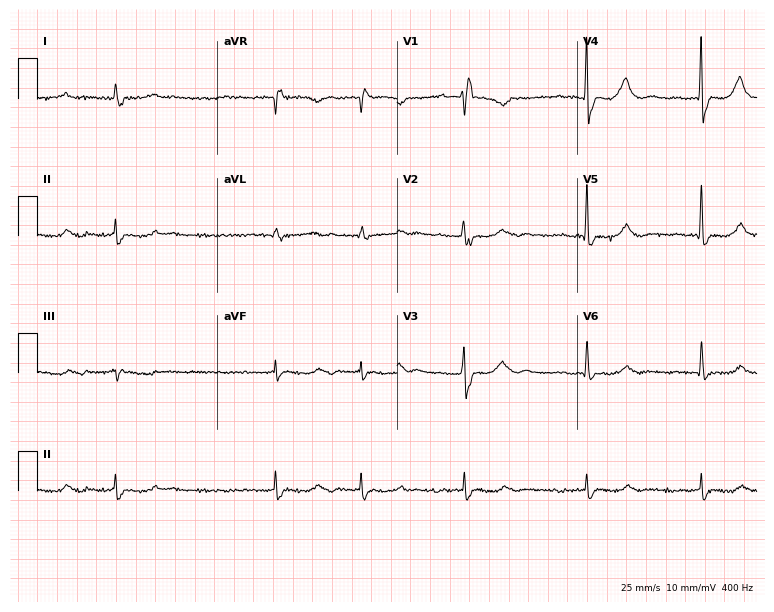
12-lead ECG from a 58-year-old male. No first-degree AV block, right bundle branch block, left bundle branch block, sinus bradycardia, atrial fibrillation or sinus tachycardia recorded for this tracing. Other findings, if any, are not listed.